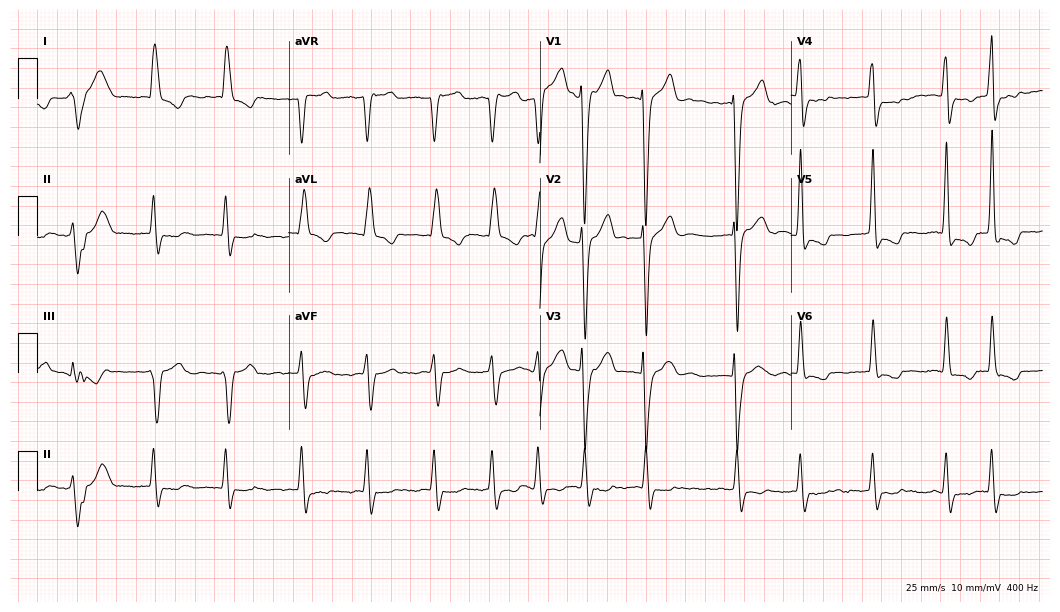
12-lead ECG from a male, 68 years old. Findings include left bundle branch block (LBBB), atrial fibrillation (AF).